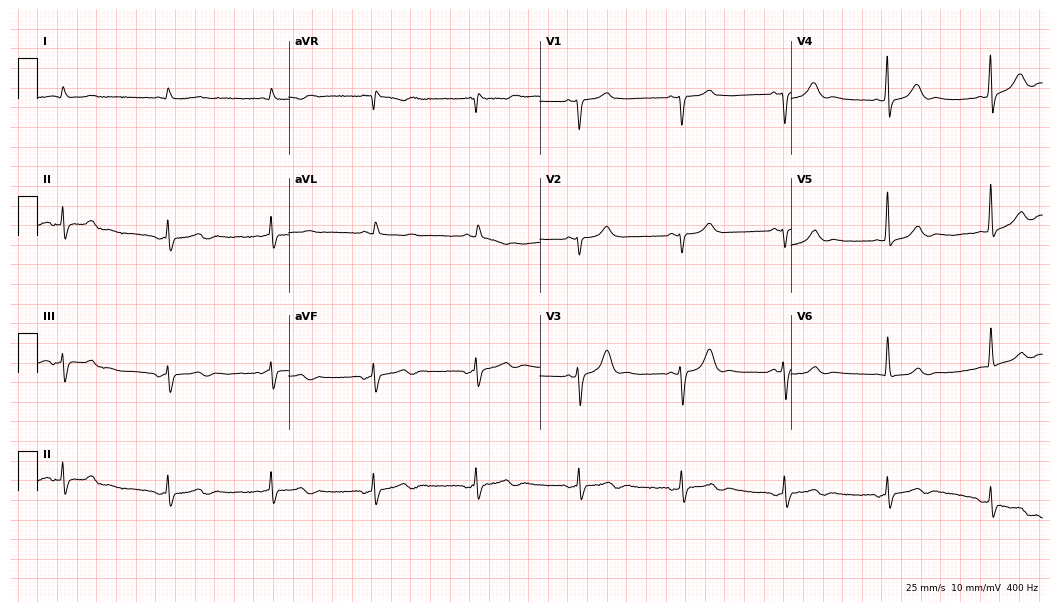
ECG (10.2-second recording at 400 Hz) — a male patient, 78 years old. Labelled as a normal ECG.